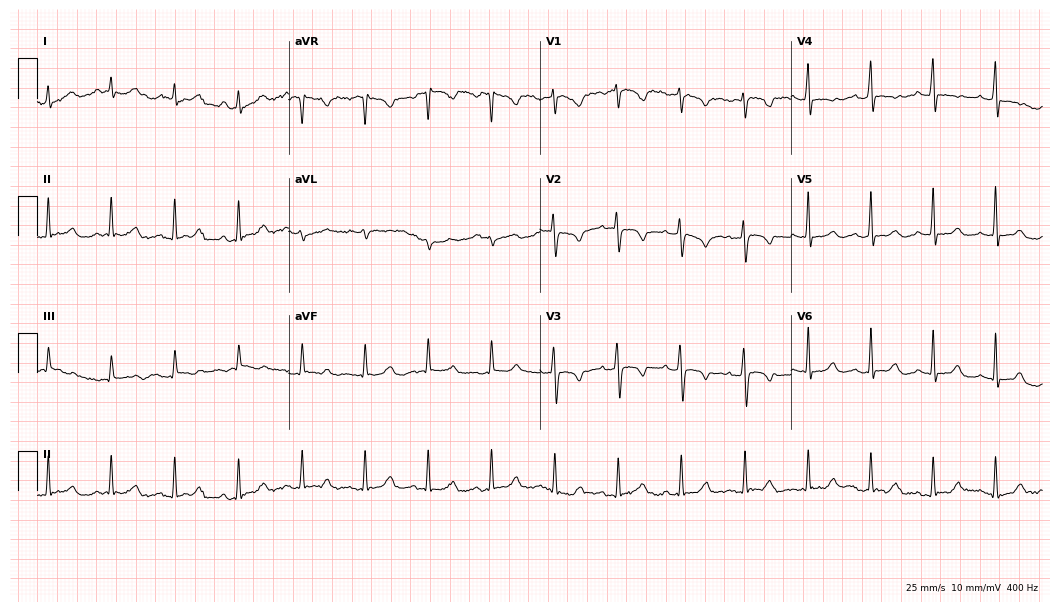
Standard 12-lead ECG recorded from a female, 34 years old. Read as a normal ECG.